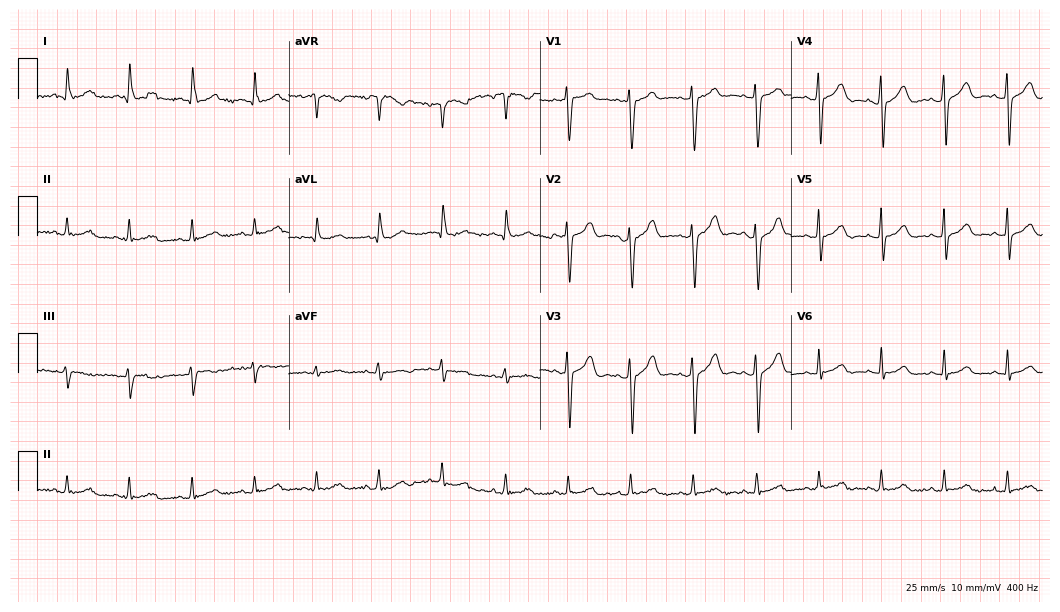
12-lead ECG (10.2-second recording at 400 Hz) from a 66-year-old man. Labelled as a normal ECG.